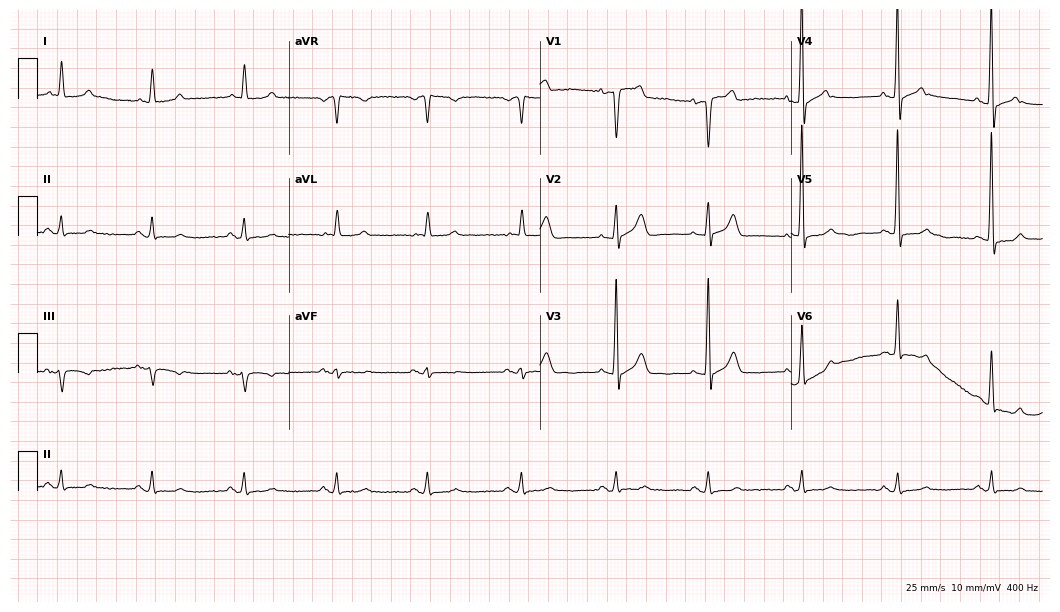
Resting 12-lead electrocardiogram. Patient: a female, 80 years old. Read as a normal ECG.